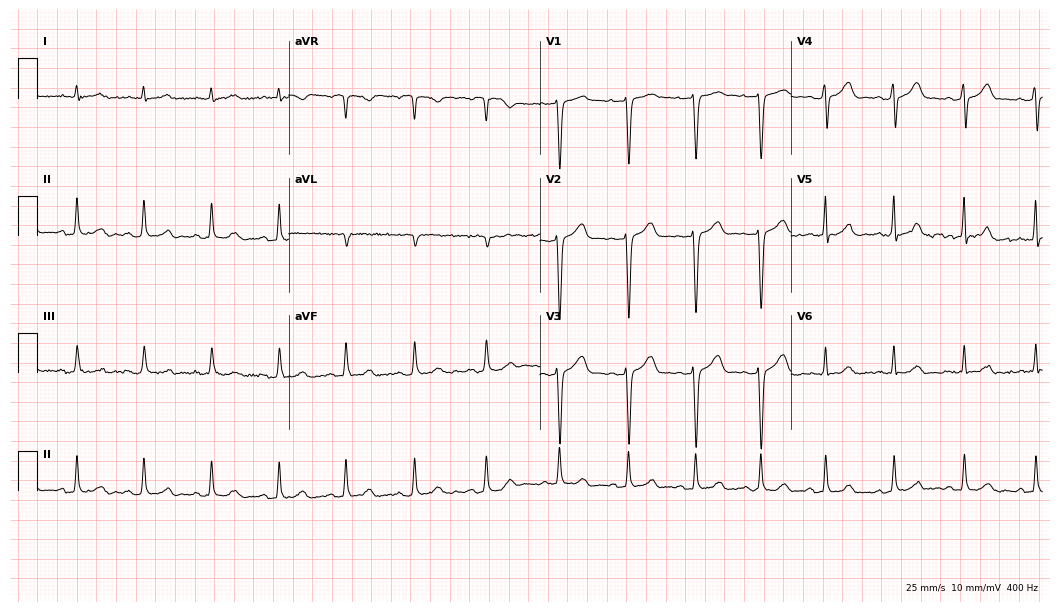
12-lead ECG from a woman, 37 years old. Recorded interpretation: within normal limits.